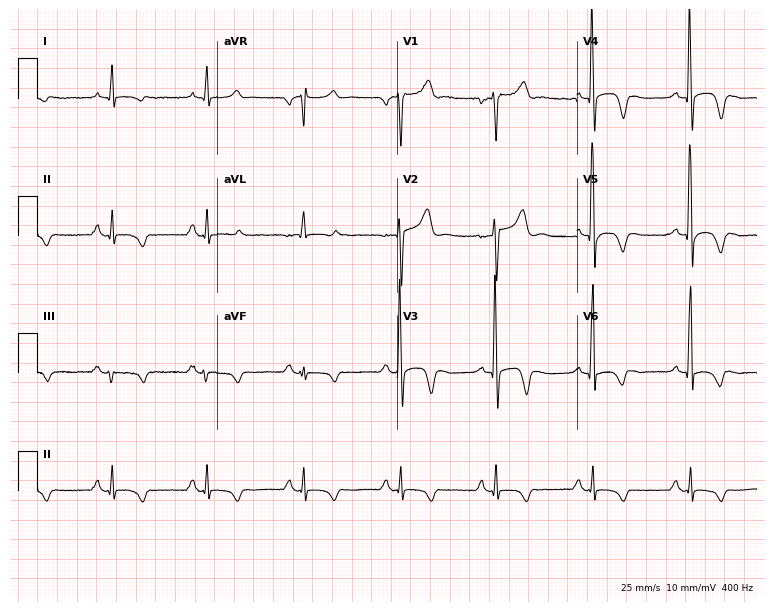
12-lead ECG (7.3-second recording at 400 Hz) from a 49-year-old male. Screened for six findings — first-degree AV block, right bundle branch block, left bundle branch block, sinus bradycardia, atrial fibrillation, sinus tachycardia — none is recorded. Only these six findings were labelled.